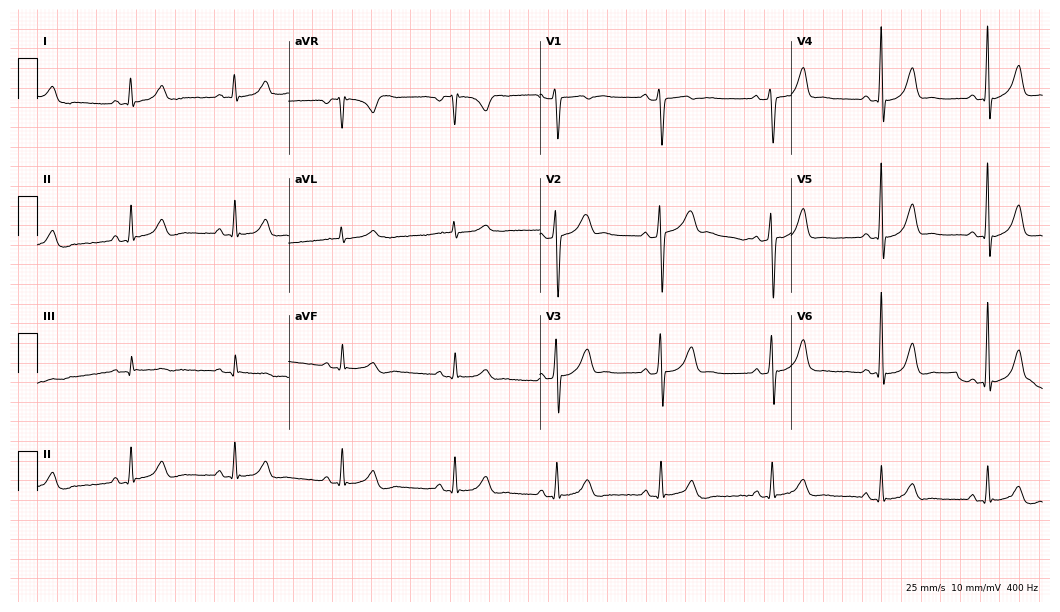
ECG (10.2-second recording at 400 Hz) — a male, 51 years old. Labelled as a normal ECG.